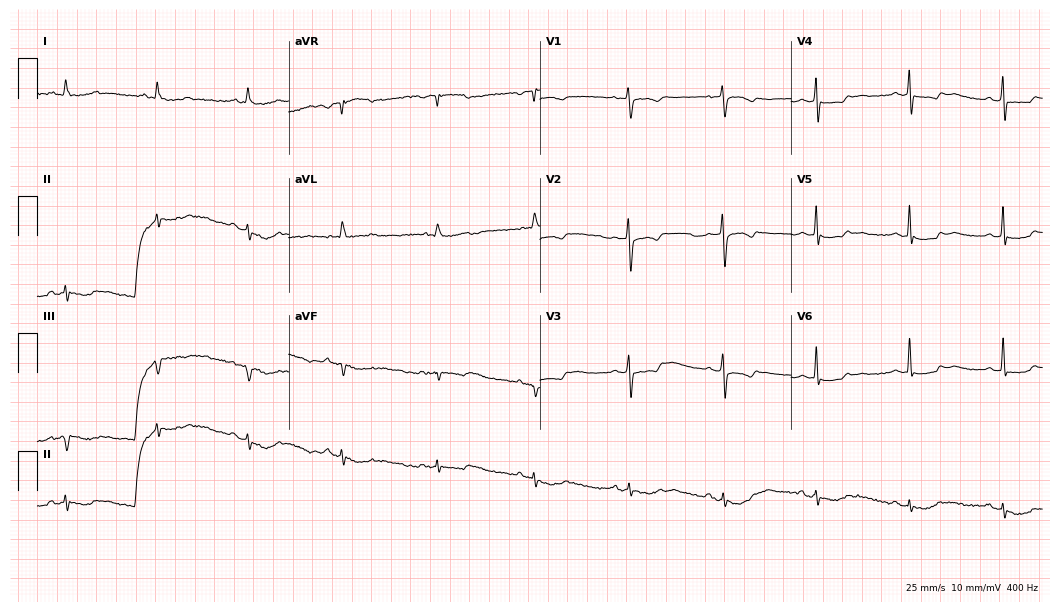
Standard 12-lead ECG recorded from a female patient, 81 years old (10.2-second recording at 400 Hz). None of these six findings is recorded: first-degree AV block, right bundle branch block (RBBB), left bundle branch block (LBBB), sinus bradycardia, atrial fibrillation (AF), sinus tachycardia.